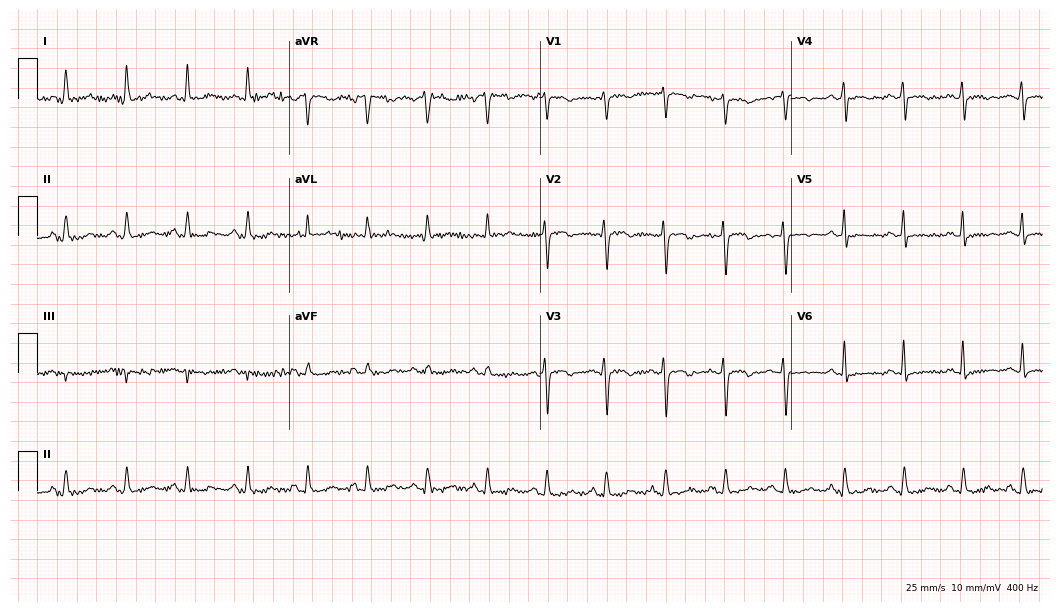
12-lead ECG from a 50-year-old woman. Screened for six findings — first-degree AV block, right bundle branch block (RBBB), left bundle branch block (LBBB), sinus bradycardia, atrial fibrillation (AF), sinus tachycardia — none is recorded. Only these six findings were labelled.